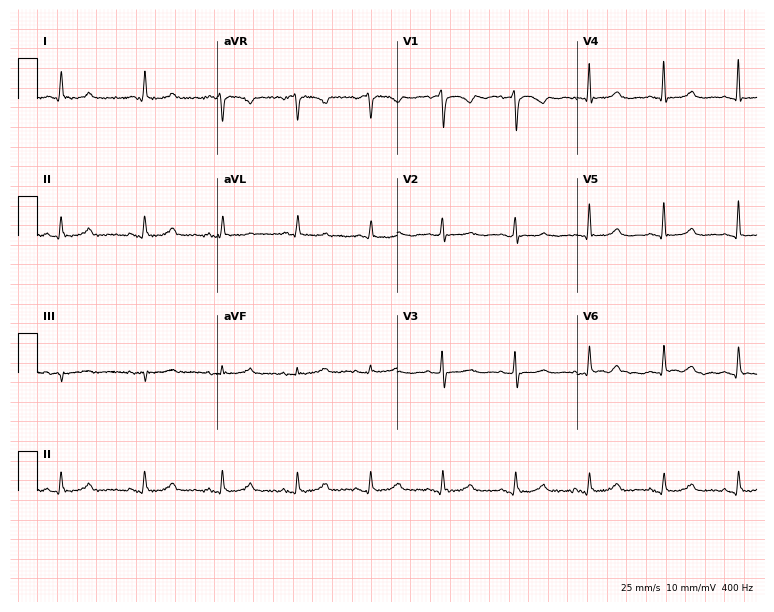
Standard 12-lead ECG recorded from a 55-year-old female patient. Read as a normal ECG.